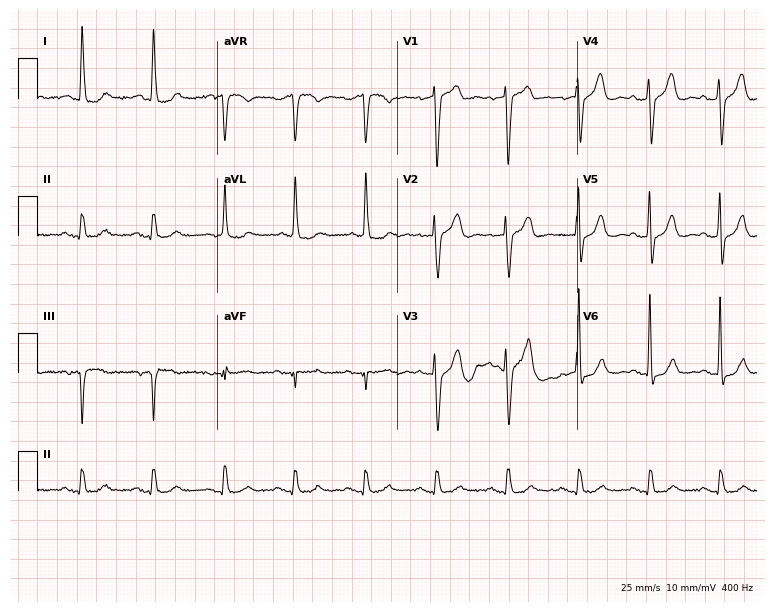
Standard 12-lead ECG recorded from a male patient, 72 years old (7.3-second recording at 400 Hz). Read as a normal ECG.